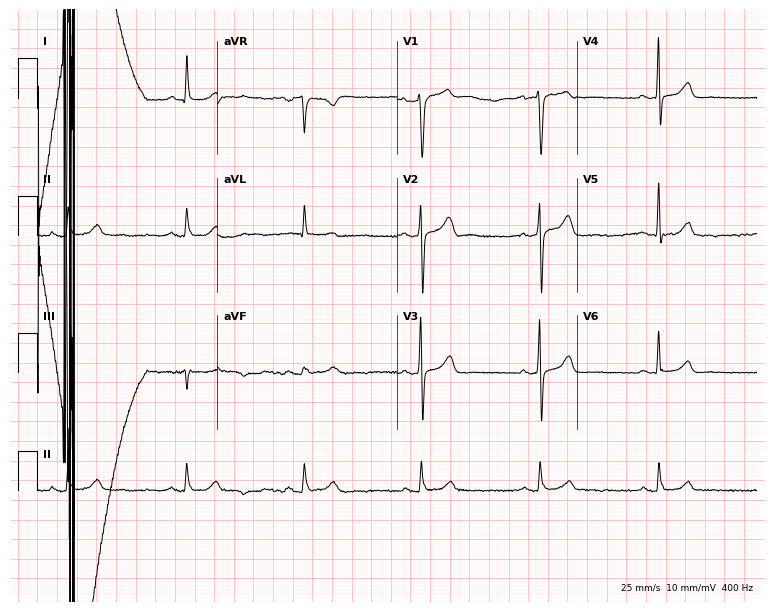
Resting 12-lead electrocardiogram (7.3-second recording at 400 Hz). Patient: a woman, 65 years old. The tracing shows sinus bradycardia (a sinus rate of 50 beats per minute or less).